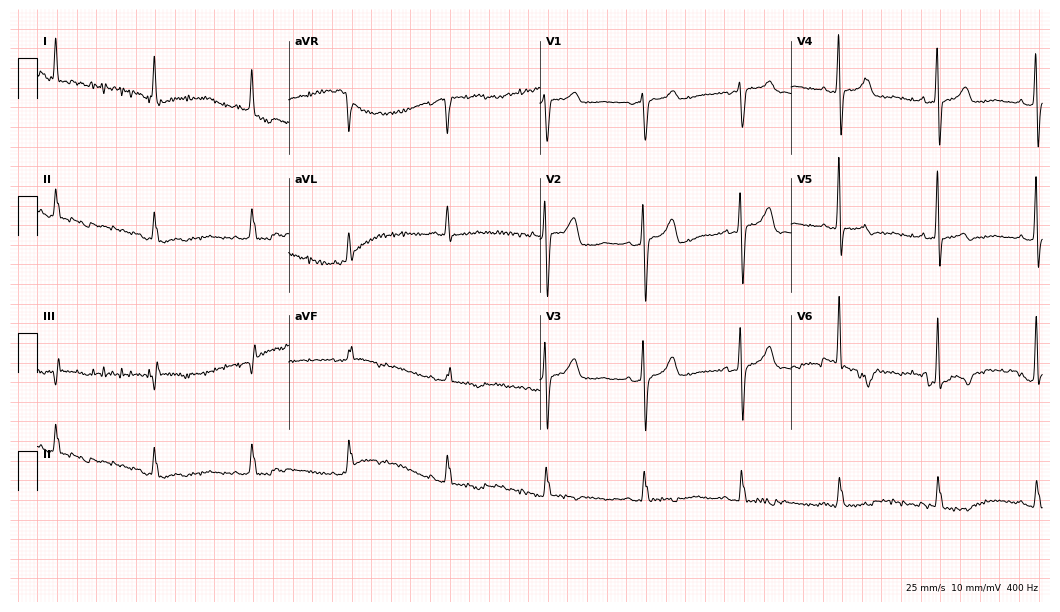
Electrocardiogram (10.2-second recording at 400 Hz), a female patient, 59 years old. Of the six screened findings (first-degree AV block, right bundle branch block, left bundle branch block, sinus bradycardia, atrial fibrillation, sinus tachycardia), none is recorded.